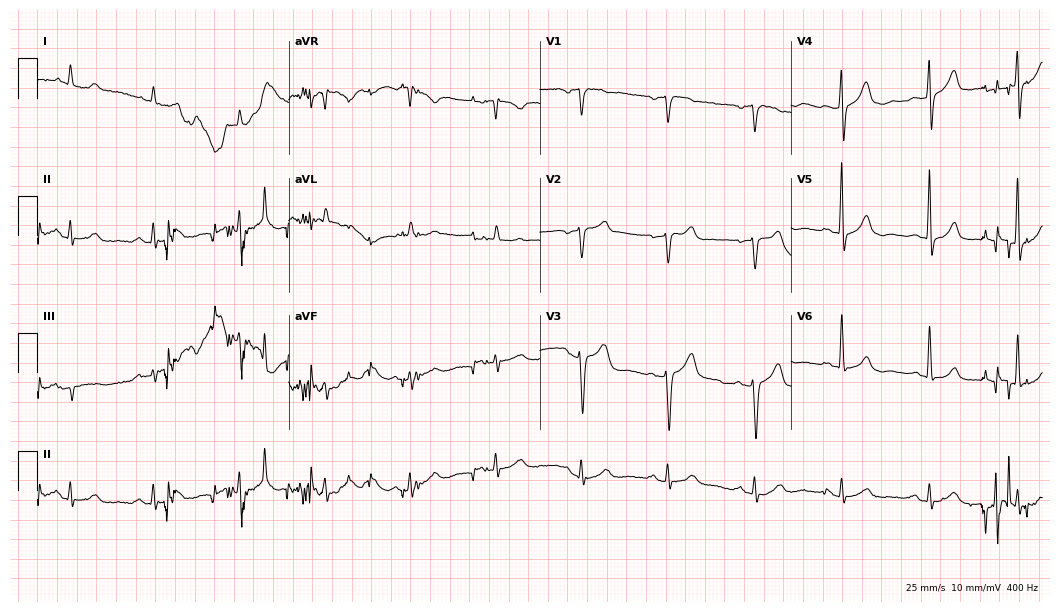
Electrocardiogram, an 84-year-old man. Of the six screened findings (first-degree AV block, right bundle branch block (RBBB), left bundle branch block (LBBB), sinus bradycardia, atrial fibrillation (AF), sinus tachycardia), none is recorded. Other findings, if any, are not listed.